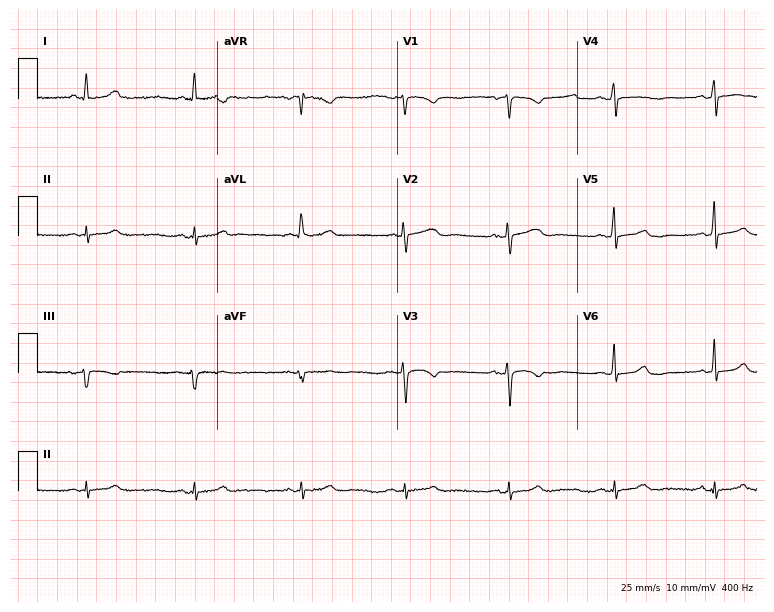
Resting 12-lead electrocardiogram (7.3-second recording at 400 Hz). Patient: a woman, 58 years old. None of these six findings is recorded: first-degree AV block, right bundle branch block, left bundle branch block, sinus bradycardia, atrial fibrillation, sinus tachycardia. Other findings, if any, are not listed.